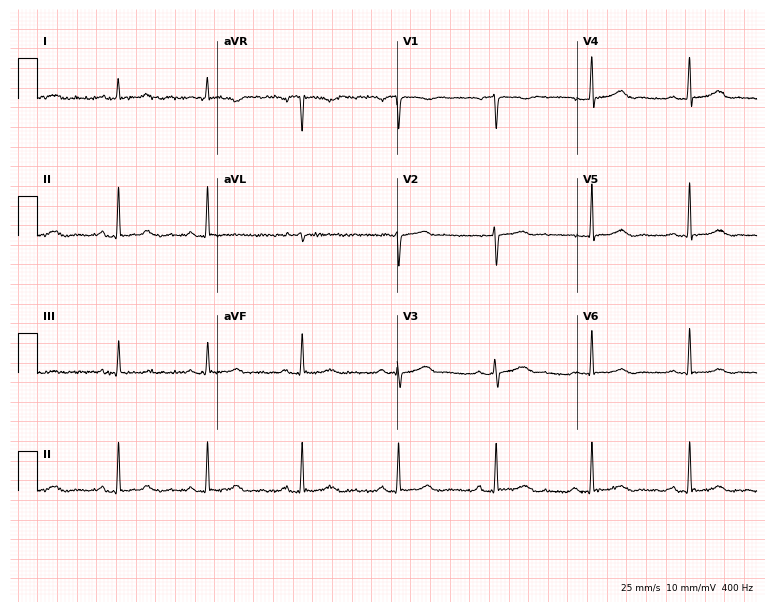
Electrocardiogram (7.3-second recording at 400 Hz), a female patient, 37 years old. Of the six screened findings (first-degree AV block, right bundle branch block (RBBB), left bundle branch block (LBBB), sinus bradycardia, atrial fibrillation (AF), sinus tachycardia), none is recorded.